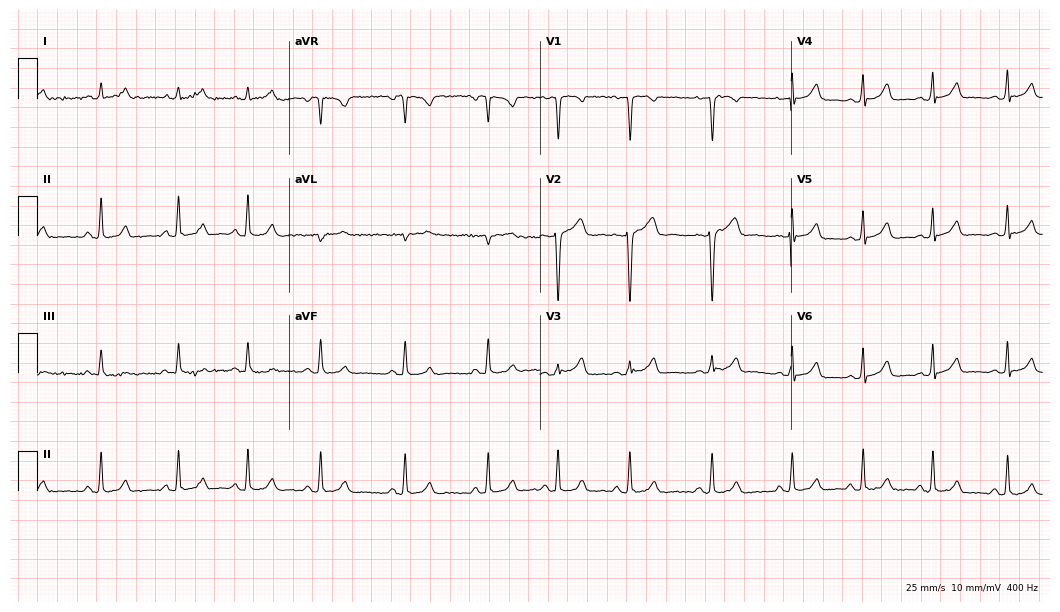
12-lead ECG (10.2-second recording at 400 Hz) from a female, 25 years old. Labelled as a normal ECG.